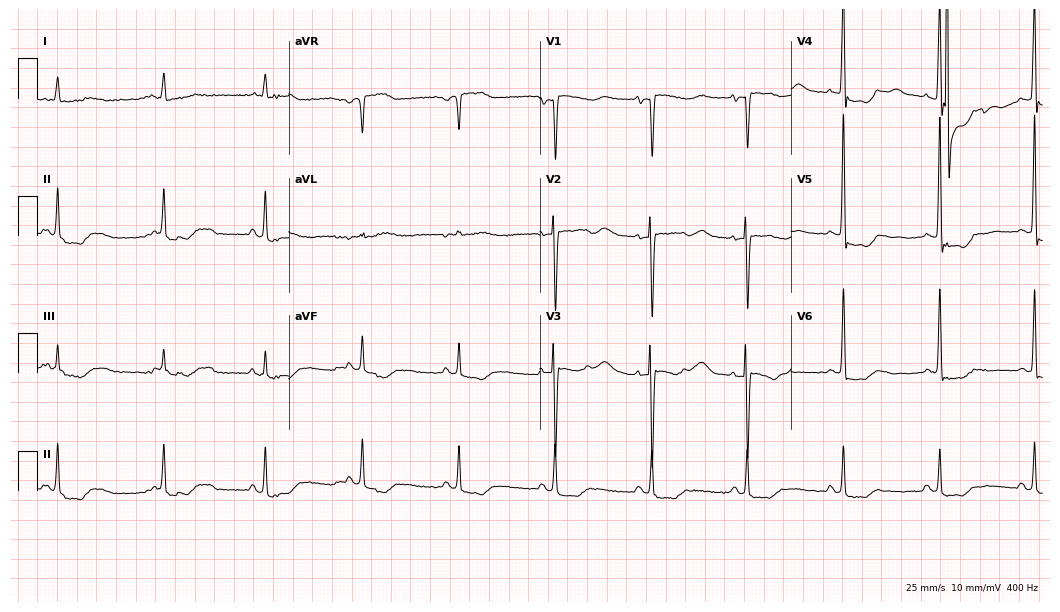
12-lead ECG from a woman, 75 years old. Screened for six findings — first-degree AV block, right bundle branch block, left bundle branch block, sinus bradycardia, atrial fibrillation, sinus tachycardia — none is recorded.